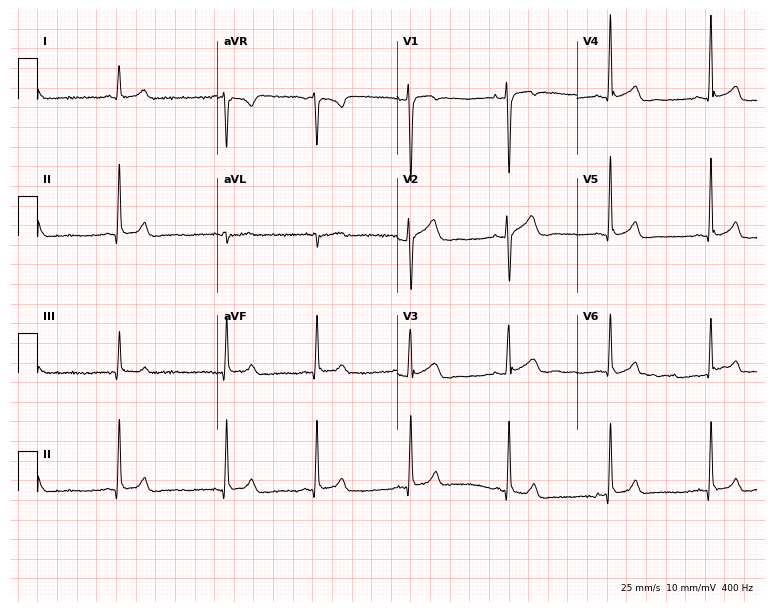
12-lead ECG from a 36-year-old male. Recorded interpretation: within normal limits.